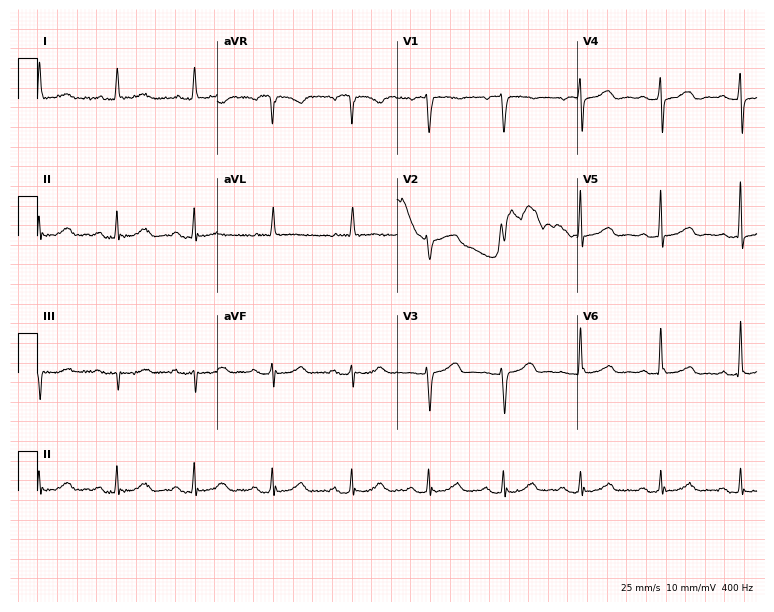
ECG — a 75-year-old female. Labelled as a normal ECG.